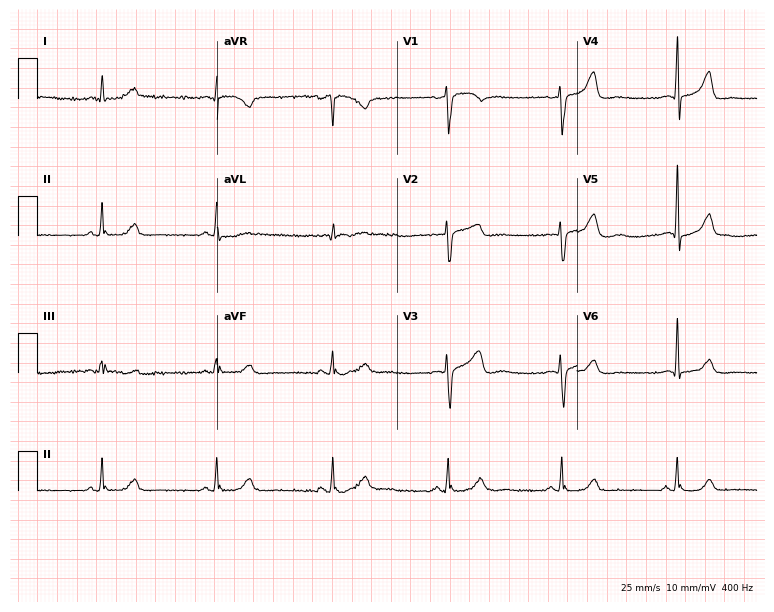
Resting 12-lead electrocardiogram. Patient: a 69-year-old man. Read as a normal ECG.